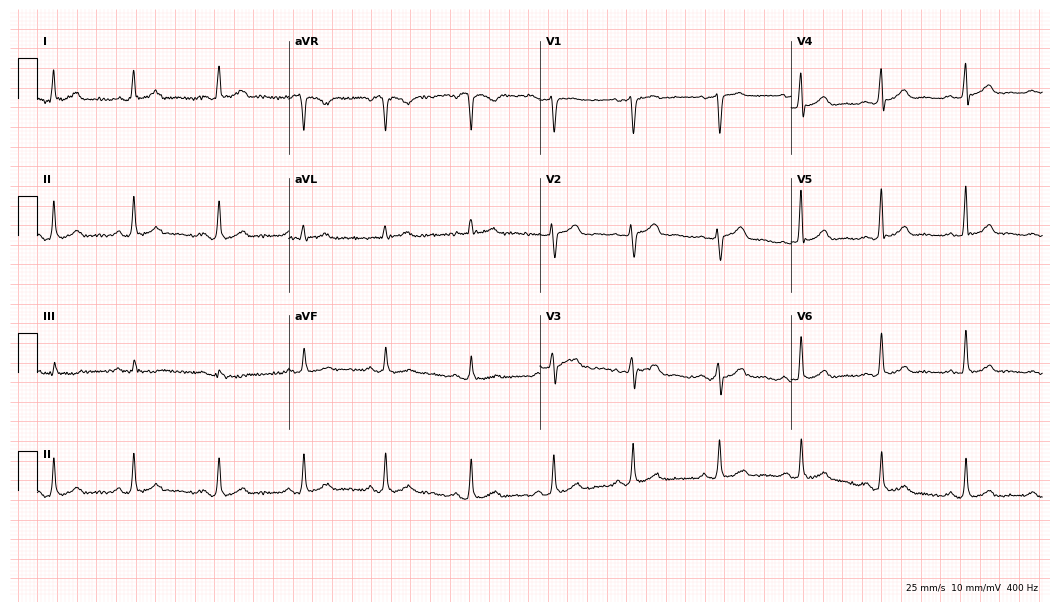
Resting 12-lead electrocardiogram. Patient: a woman, 55 years old. Read as a normal ECG.